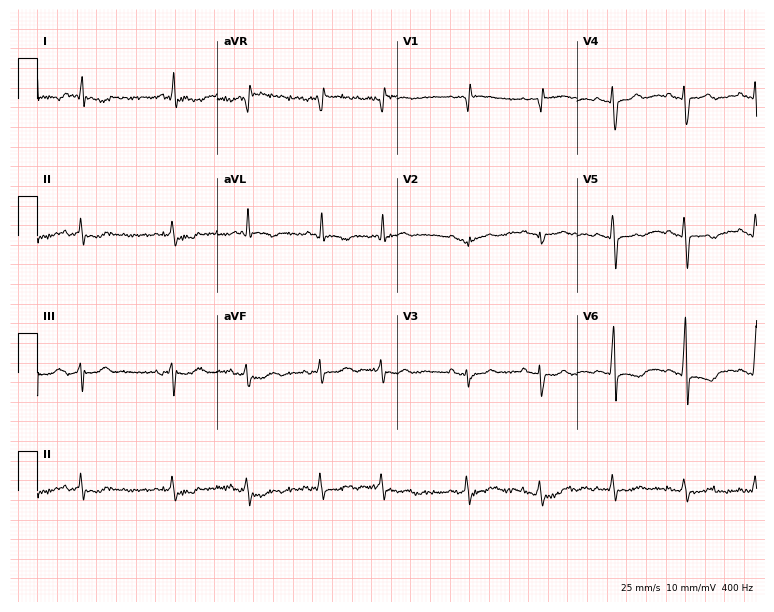
Resting 12-lead electrocardiogram. Patient: an 81-year-old male. Read as a normal ECG.